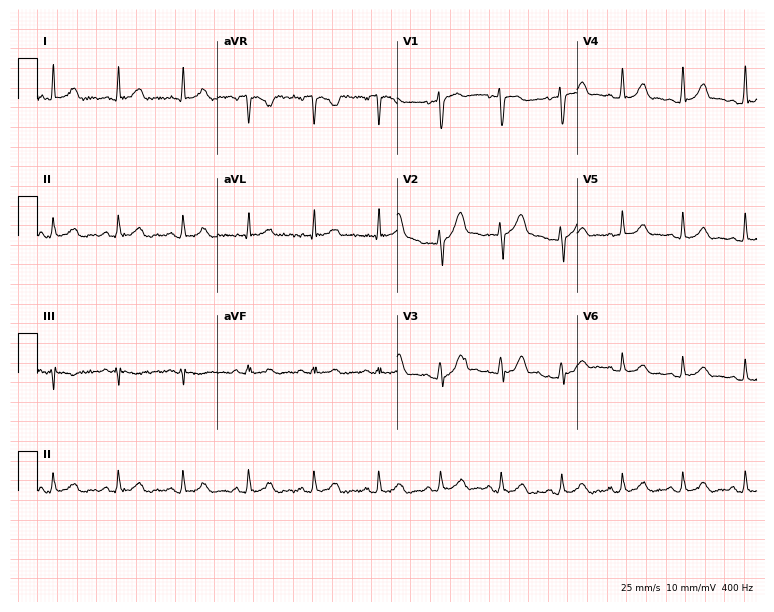
Standard 12-lead ECG recorded from a 53-year-old male (7.3-second recording at 400 Hz). Read as a normal ECG.